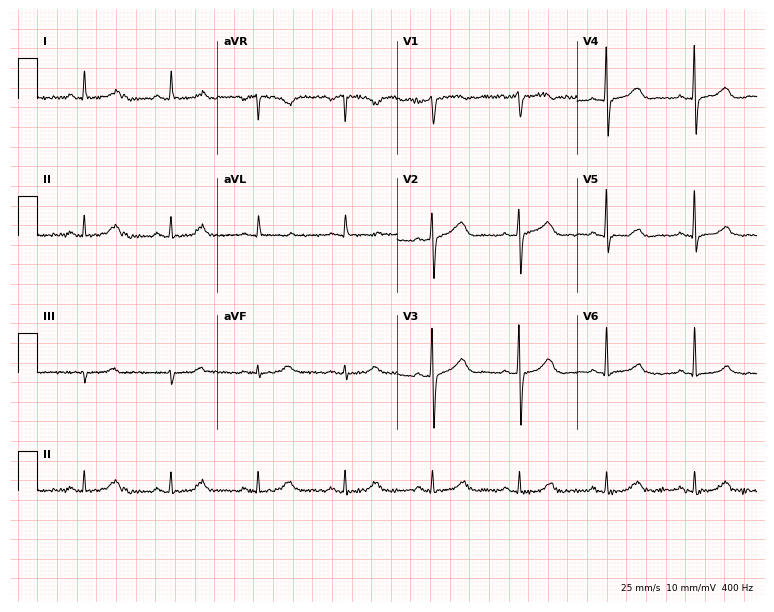
12-lead ECG from a 61-year-old female (7.3-second recording at 400 Hz). Recorded interpretation: within normal limits.